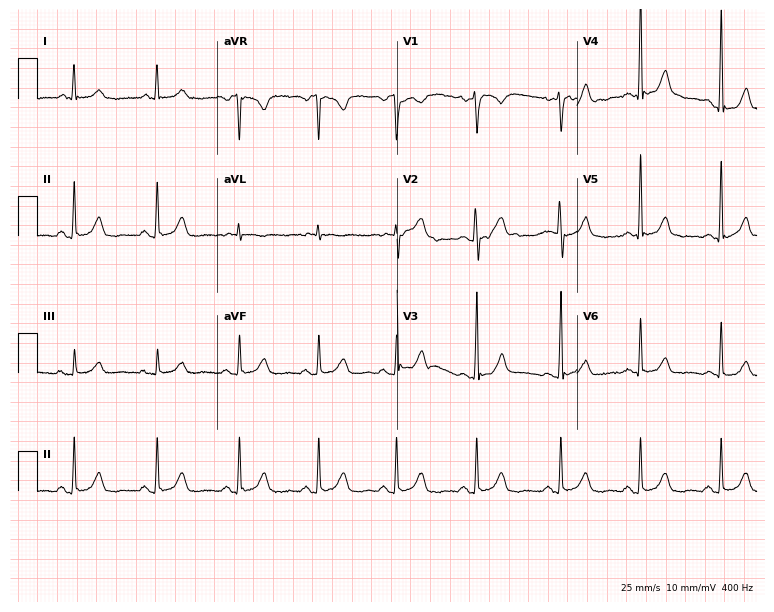
12-lead ECG (7.3-second recording at 400 Hz) from a 51-year-old female. Screened for six findings — first-degree AV block, right bundle branch block (RBBB), left bundle branch block (LBBB), sinus bradycardia, atrial fibrillation (AF), sinus tachycardia — none is recorded.